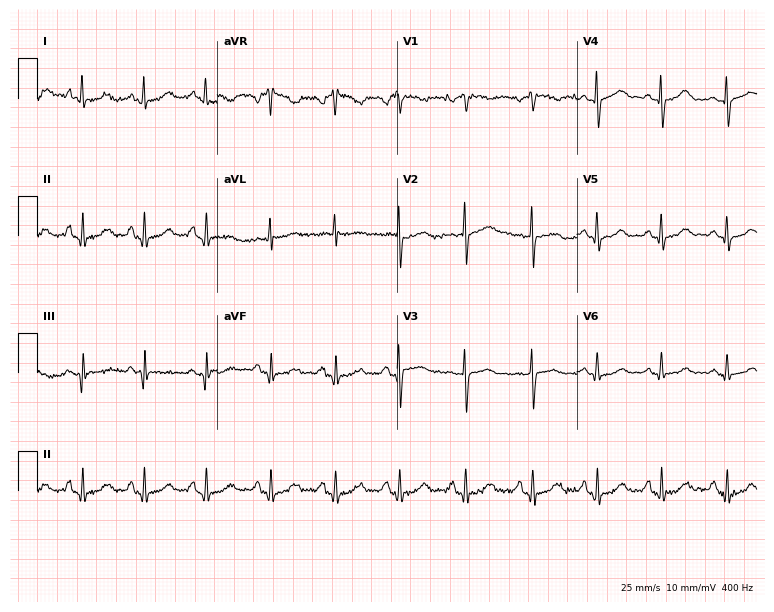
Electrocardiogram (7.3-second recording at 400 Hz), a female, 69 years old. Of the six screened findings (first-degree AV block, right bundle branch block (RBBB), left bundle branch block (LBBB), sinus bradycardia, atrial fibrillation (AF), sinus tachycardia), none is recorded. Only these six findings were labelled.